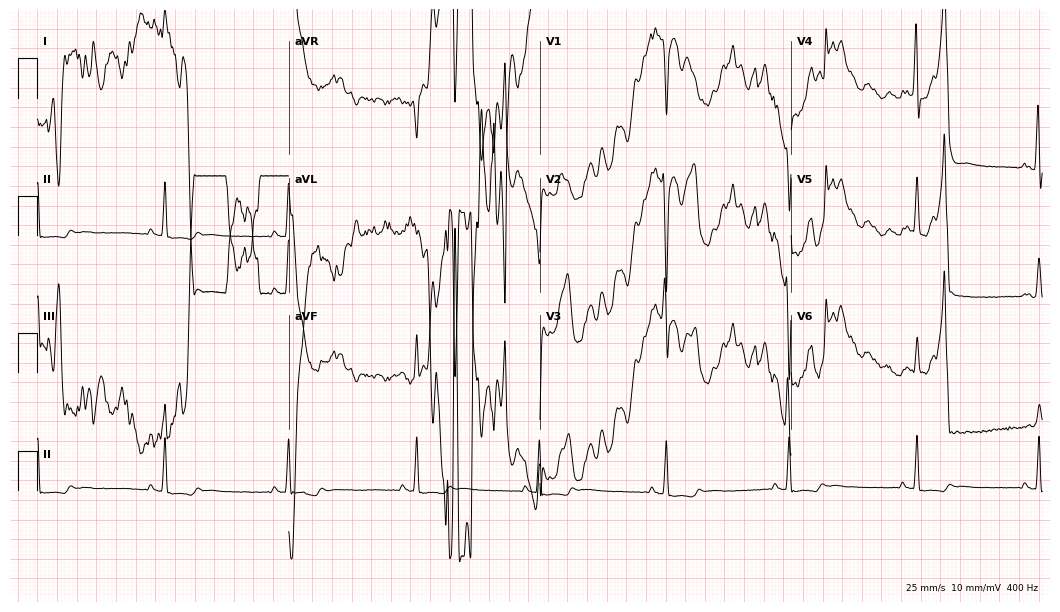
ECG — a male patient, 38 years old. Screened for six findings — first-degree AV block, right bundle branch block, left bundle branch block, sinus bradycardia, atrial fibrillation, sinus tachycardia — none is recorded.